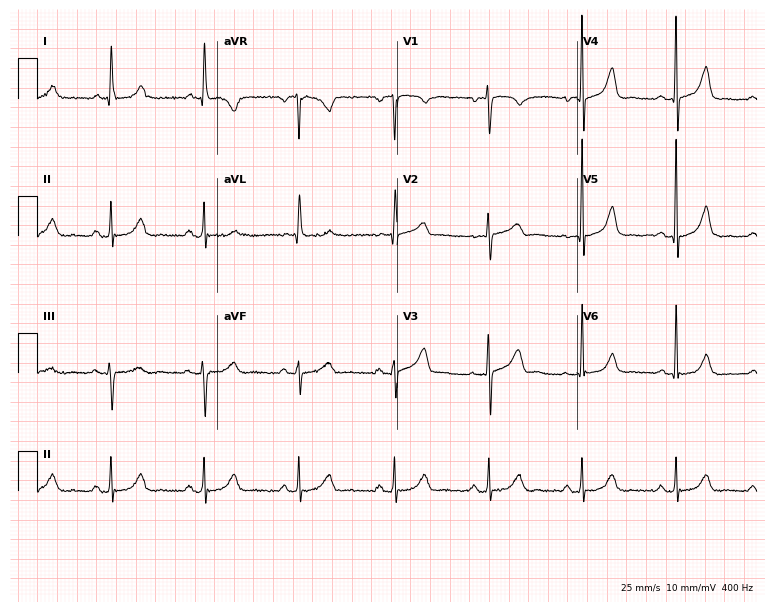
12-lead ECG (7.3-second recording at 400 Hz) from a female patient, 71 years old. Labelled as a normal ECG.